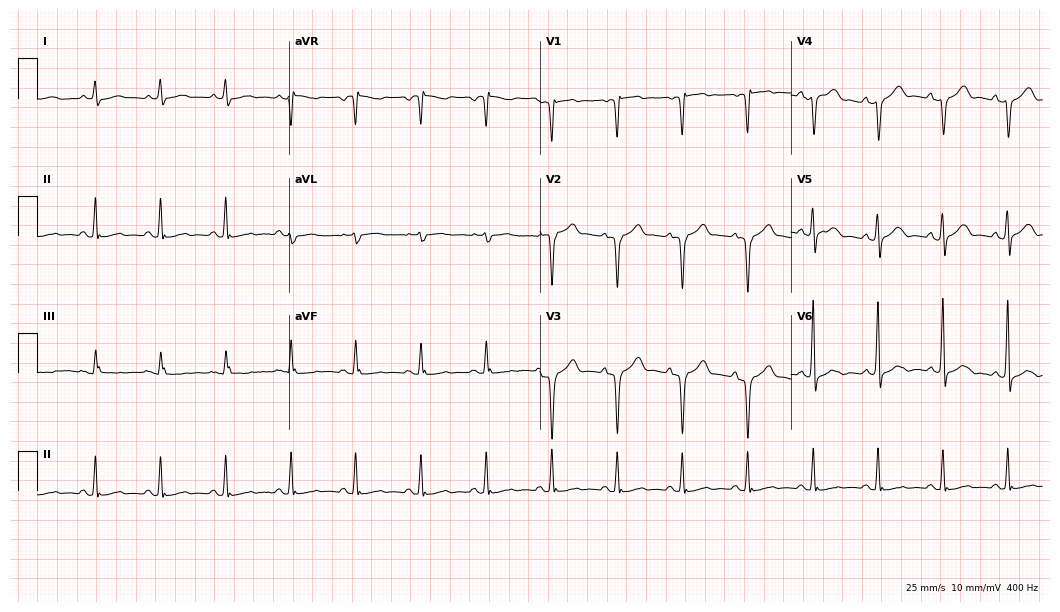
Electrocardiogram, a male, 53 years old. Of the six screened findings (first-degree AV block, right bundle branch block, left bundle branch block, sinus bradycardia, atrial fibrillation, sinus tachycardia), none is recorded.